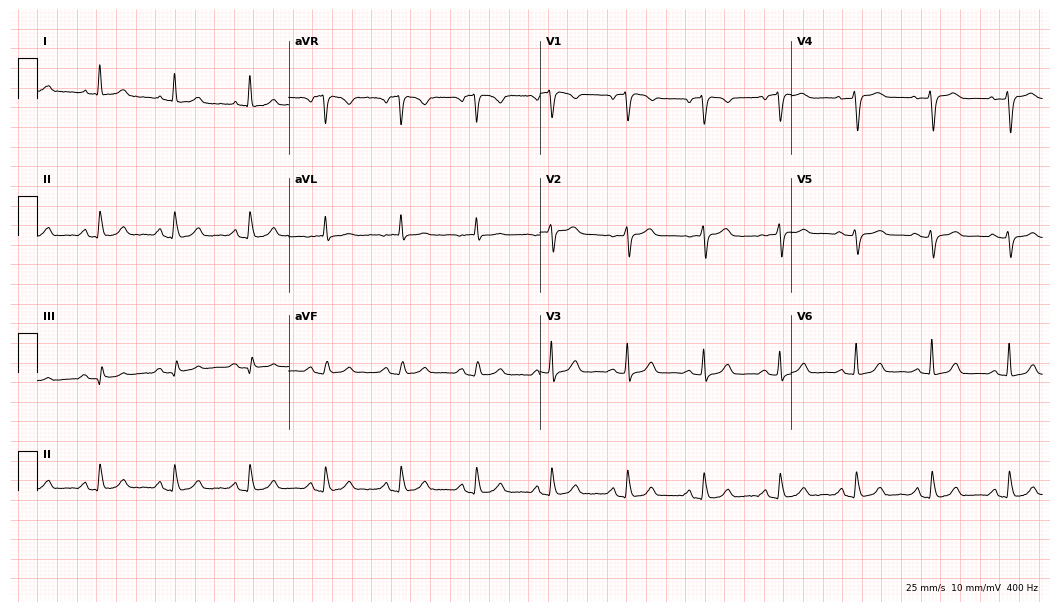
12-lead ECG from a female, 78 years old (10.2-second recording at 400 Hz). Recorded interpretation: within normal limits.